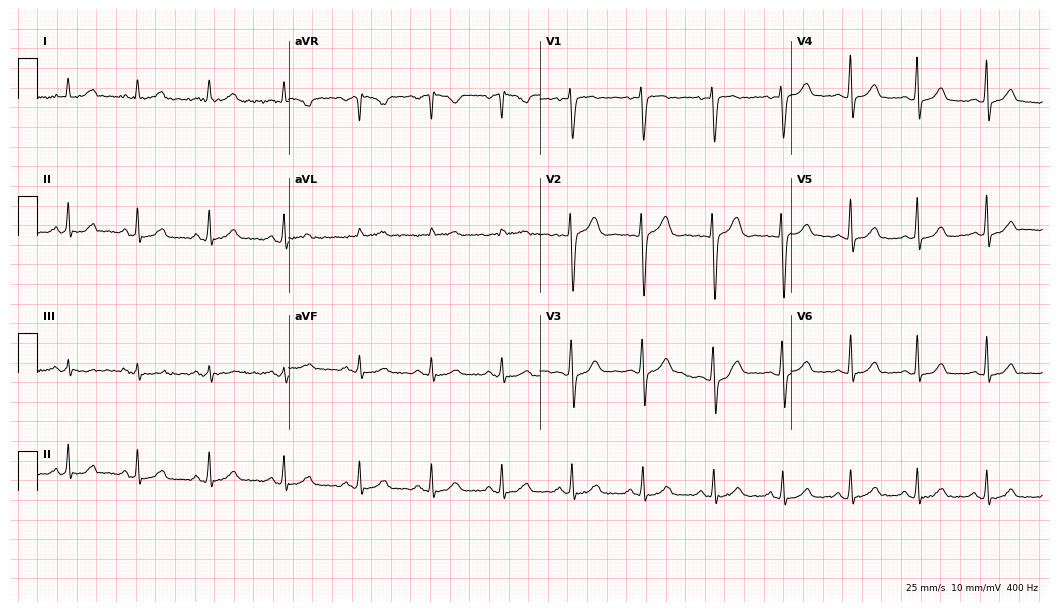
12-lead ECG (10.2-second recording at 400 Hz) from a woman, 32 years old. Labelled as a normal ECG.